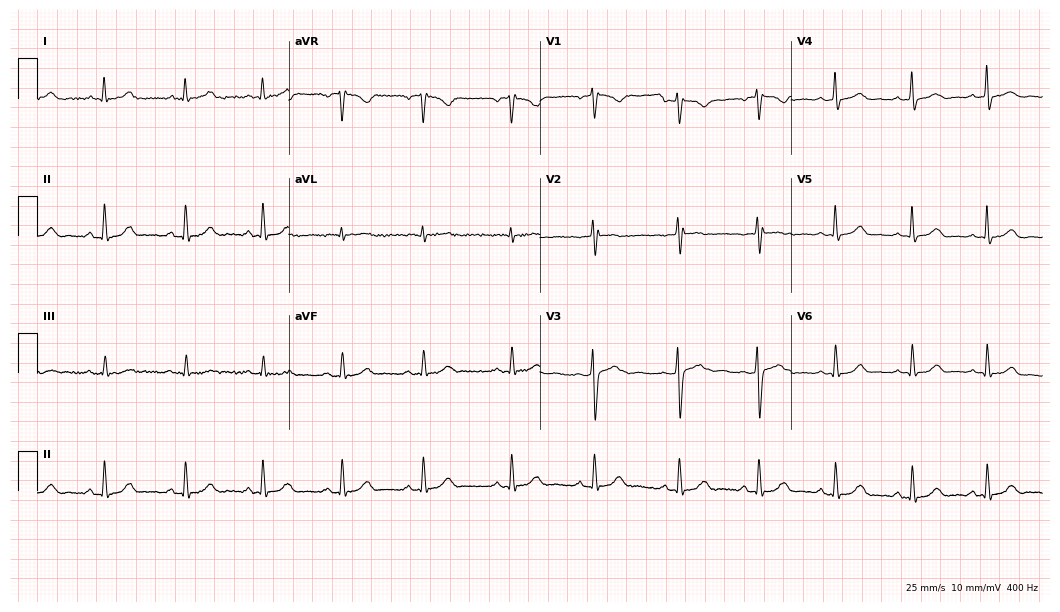
12-lead ECG from a 32-year-old female (10.2-second recording at 400 Hz). Recorded interpretation: within normal limits.